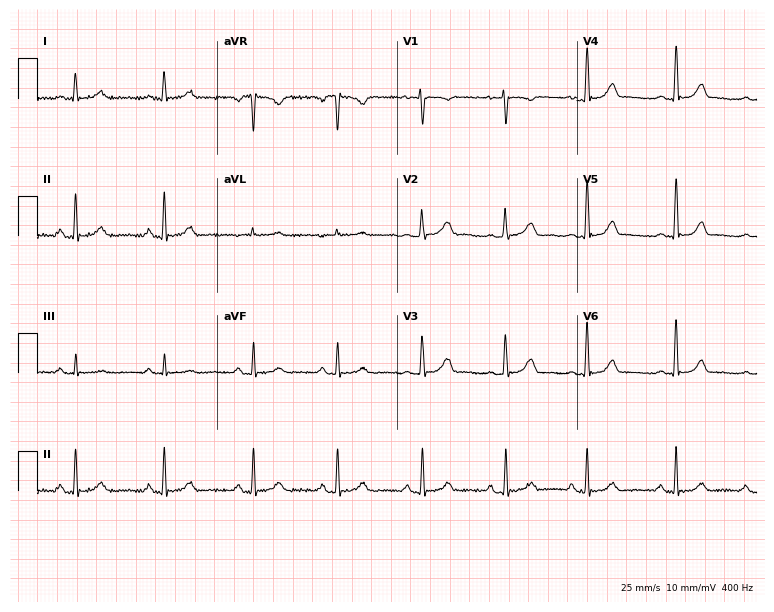
ECG (7.3-second recording at 400 Hz) — a 17-year-old female patient. Labelled as a normal ECG.